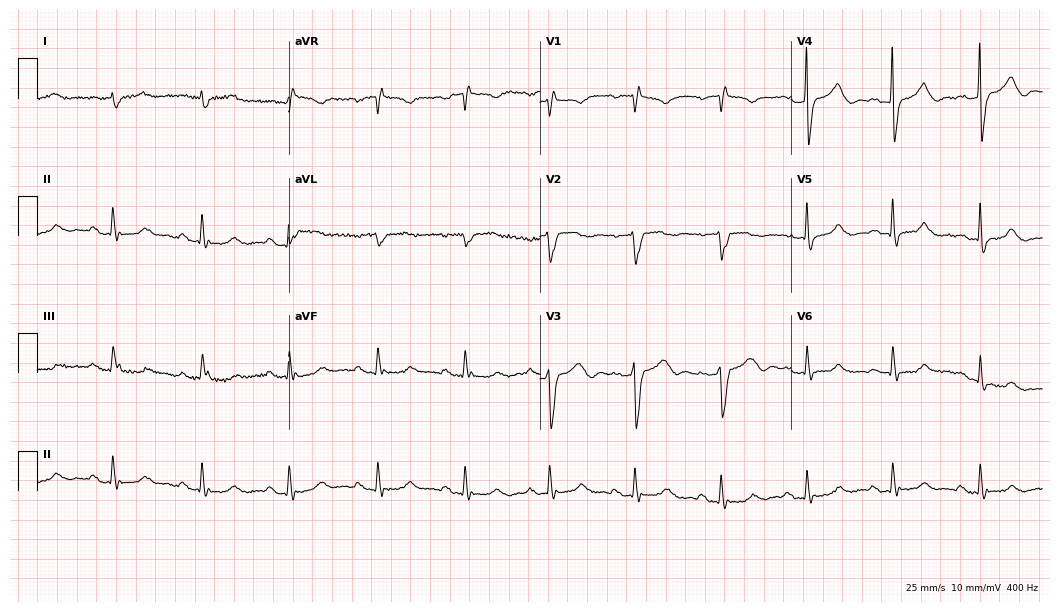
Electrocardiogram (10.2-second recording at 400 Hz), an 84-year-old male. Interpretation includes first-degree AV block.